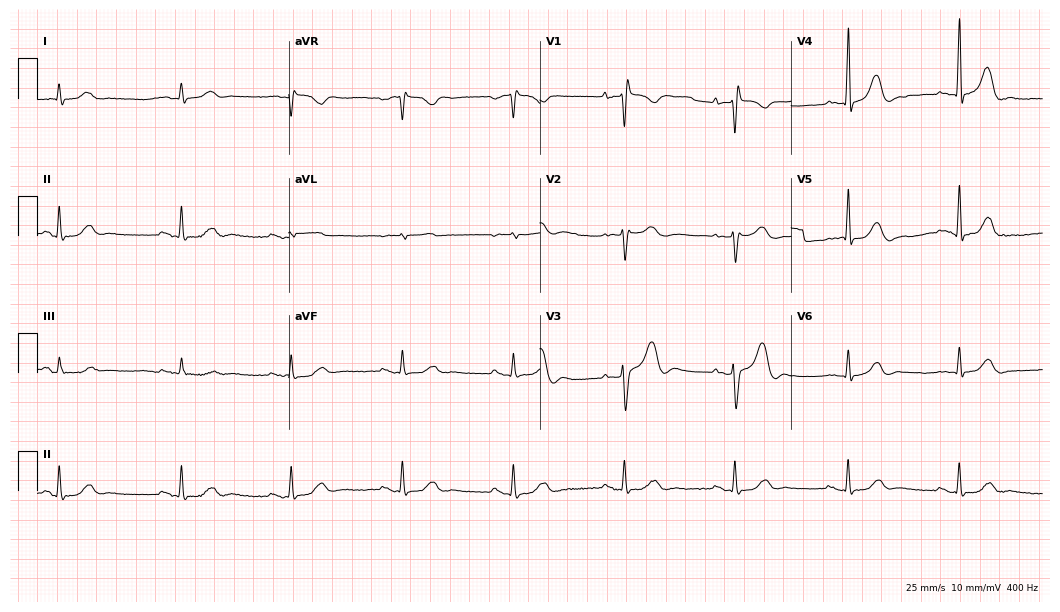
Standard 12-lead ECG recorded from a 78-year-old male patient. None of these six findings is recorded: first-degree AV block, right bundle branch block, left bundle branch block, sinus bradycardia, atrial fibrillation, sinus tachycardia. Other findings, if any, are not listed.